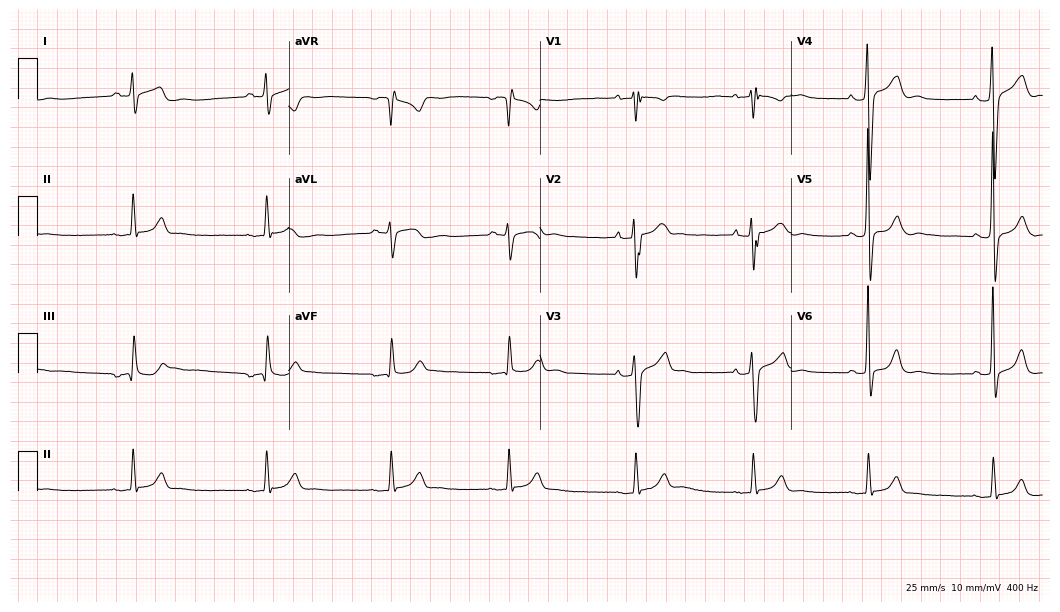
12-lead ECG from a 32-year-old man. Findings include sinus bradycardia (a sinus rate of 50 beats per minute or less).